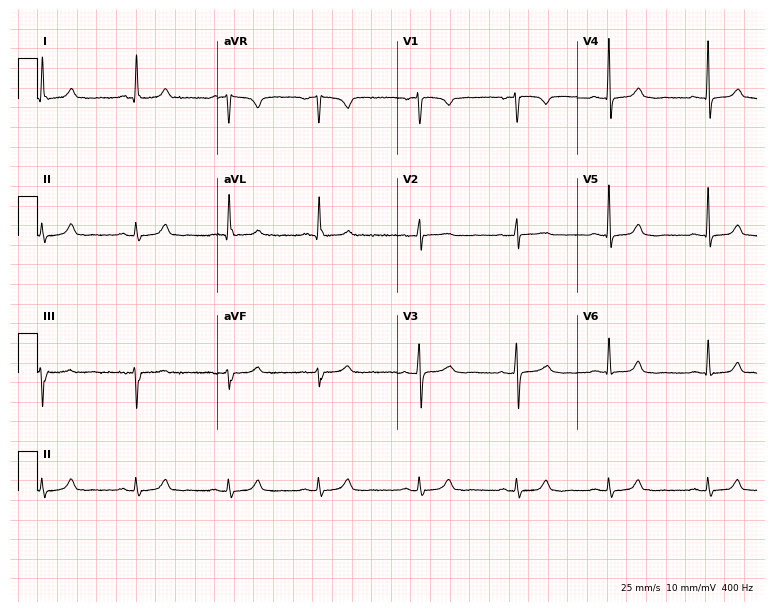
Resting 12-lead electrocardiogram (7.3-second recording at 400 Hz). Patient: a 43-year-old woman. None of these six findings is recorded: first-degree AV block, right bundle branch block, left bundle branch block, sinus bradycardia, atrial fibrillation, sinus tachycardia. Findings outside these six are not listed.